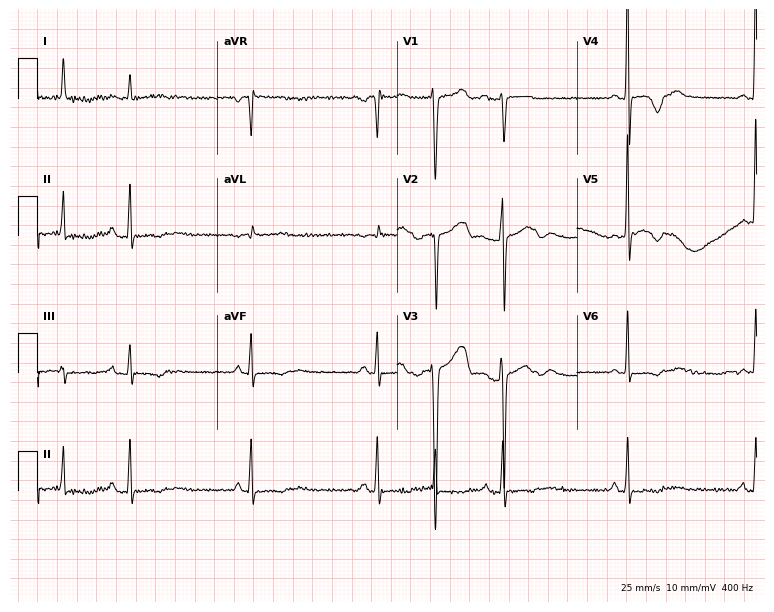
Electrocardiogram, a 77-year-old female. Interpretation includes sinus bradycardia (a sinus rate of 50 beats per minute or less).